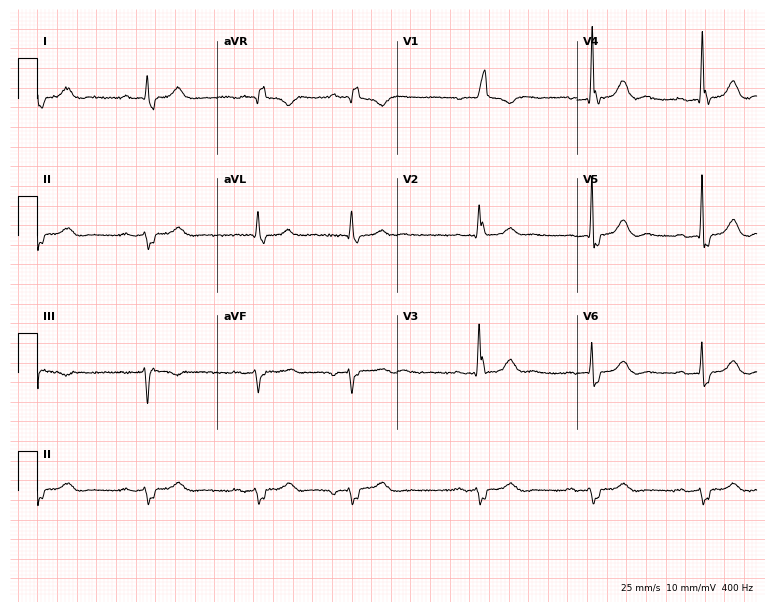
12-lead ECG from a female, 76 years old. Shows right bundle branch block.